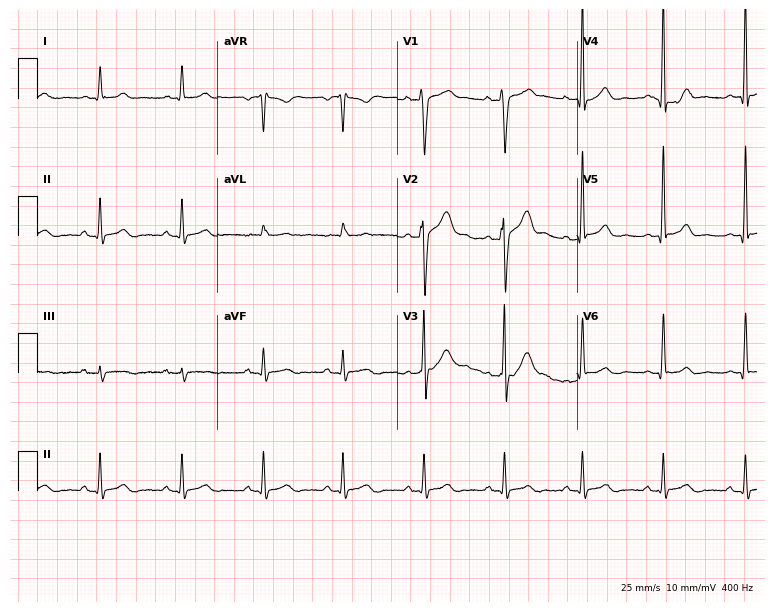
12-lead ECG from a 28-year-old man (7.3-second recording at 400 Hz). No first-degree AV block, right bundle branch block, left bundle branch block, sinus bradycardia, atrial fibrillation or sinus tachycardia recorded for this tracing.